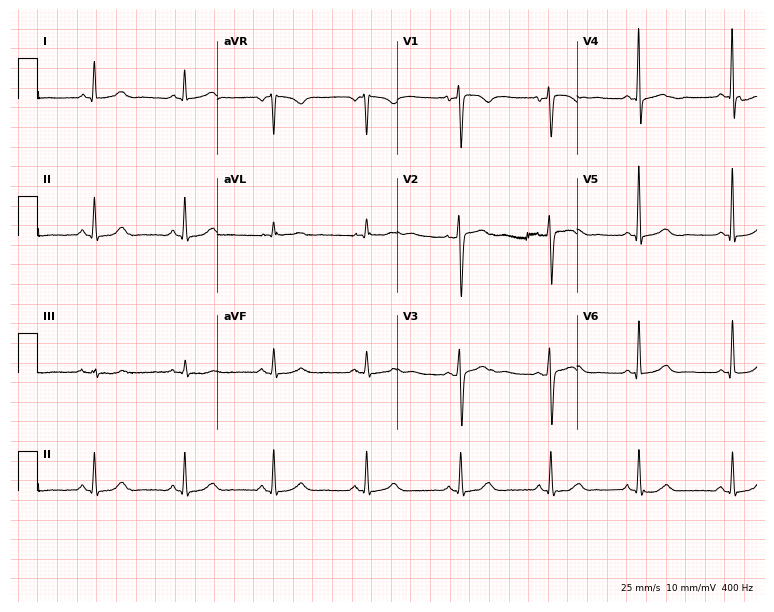
12-lead ECG (7.3-second recording at 400 Hz) from a 46-year-old woman. Labelled as a normal ECG.